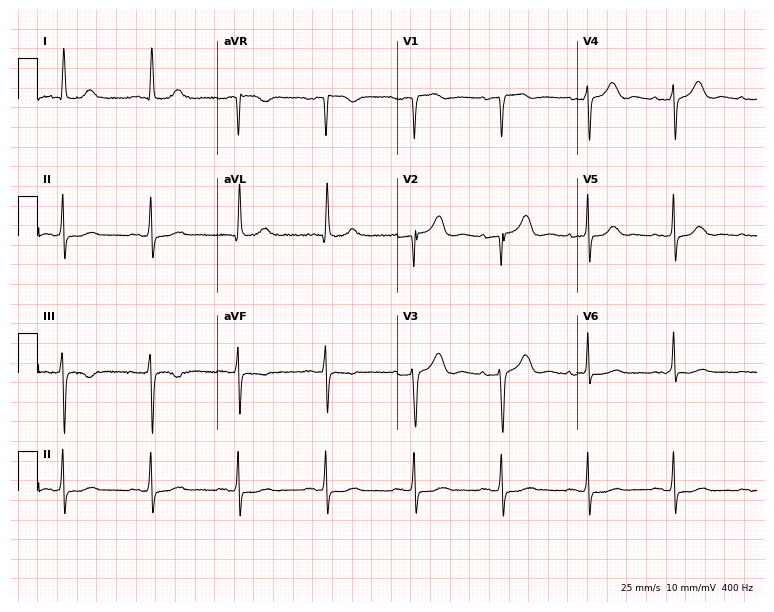
Resting 12-lead electrocardiogram. Patient: a female, 82 years old. Read as a normal ECG.